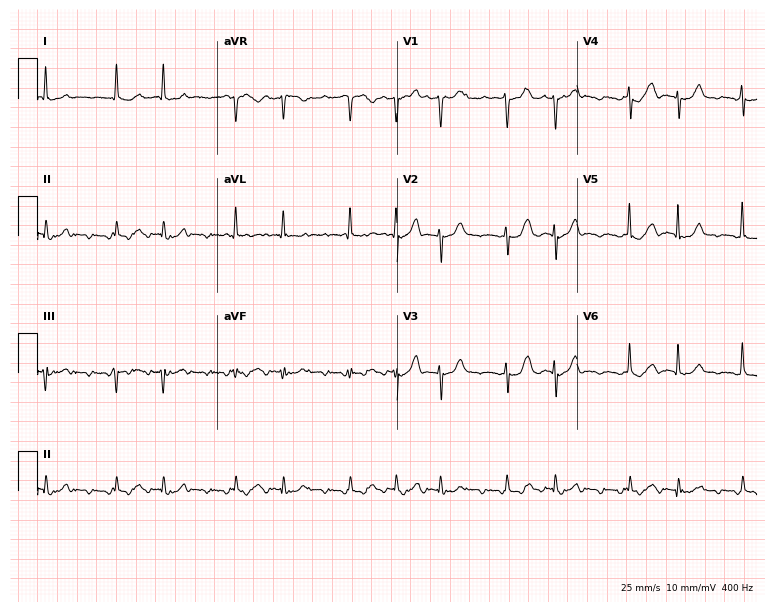
Resting 12-lead electrocardiogram (7.3-second recording at 400 Hz). Patient: an 81-year-old female. The tracing shows atrial fibrillation.